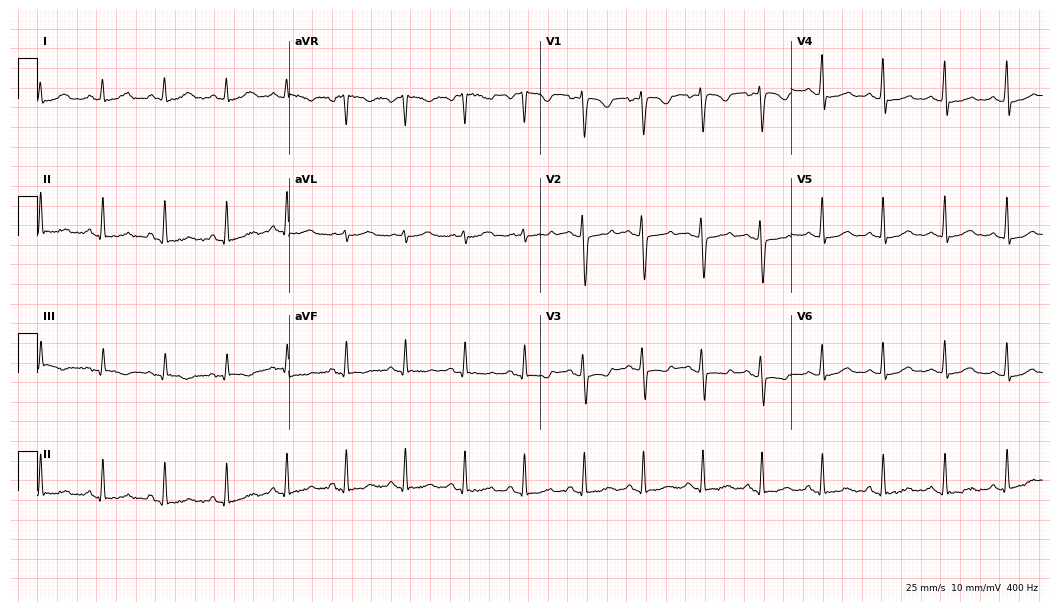
Electrocardiogram (10.2-second recording at 400 Hz), a woman, 25 years old. Overall reading on record: normal ECG.